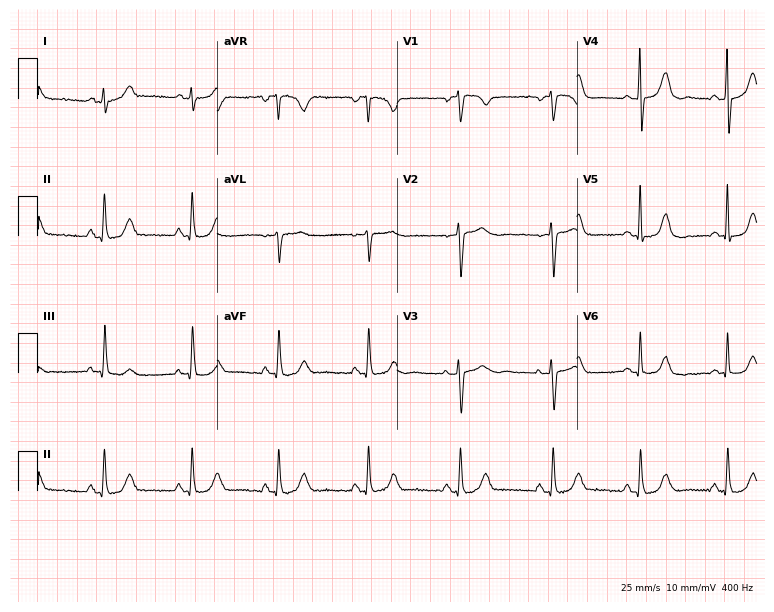
Electrocardiogram (7.3-second recording at 400 Hz), a 49-year-old female patient. Overall reading on record: normal ECG.